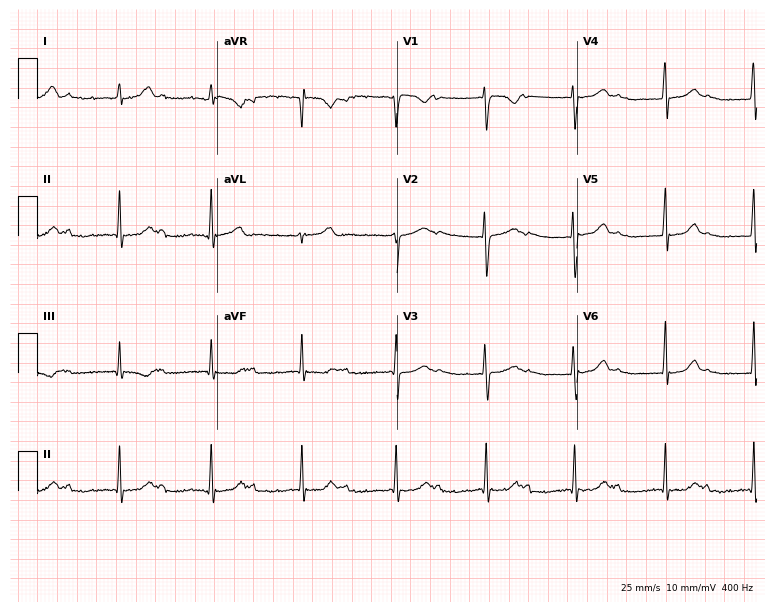
12-lead ECG from a female, 27 years old. No first-degree AV block, right bundle branch block, left bundle branch block, sinus bradycardia, atrial fibrillation or sinus tachycardia recorded for this tracing. Only these six findings were labelled.